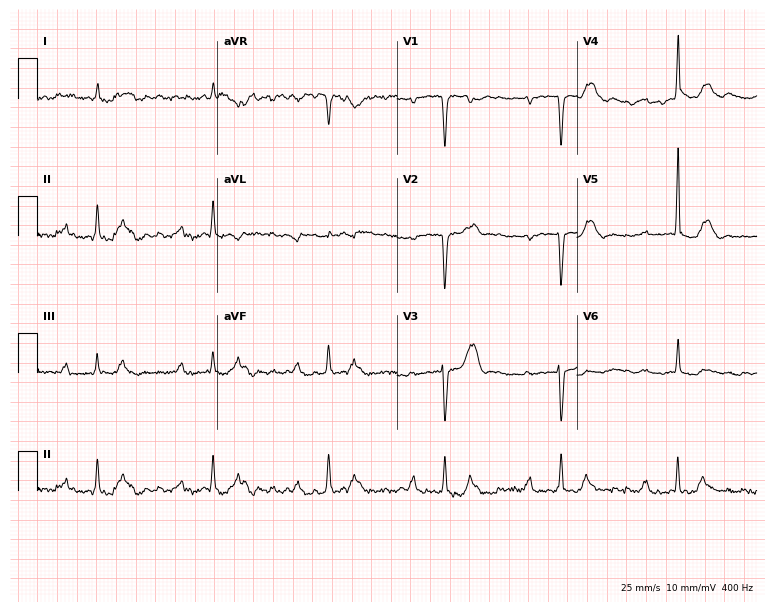
12-lead ECG from an 82-year-old male. Screened for six findings — first-degree AV block, right bundle branch block (RBBB), left bundle branch block (LBBB), sinus bradycardia, atrial fibrillation (AF), sinus tachycardia — none is recorded. Only these six findings were labelled.